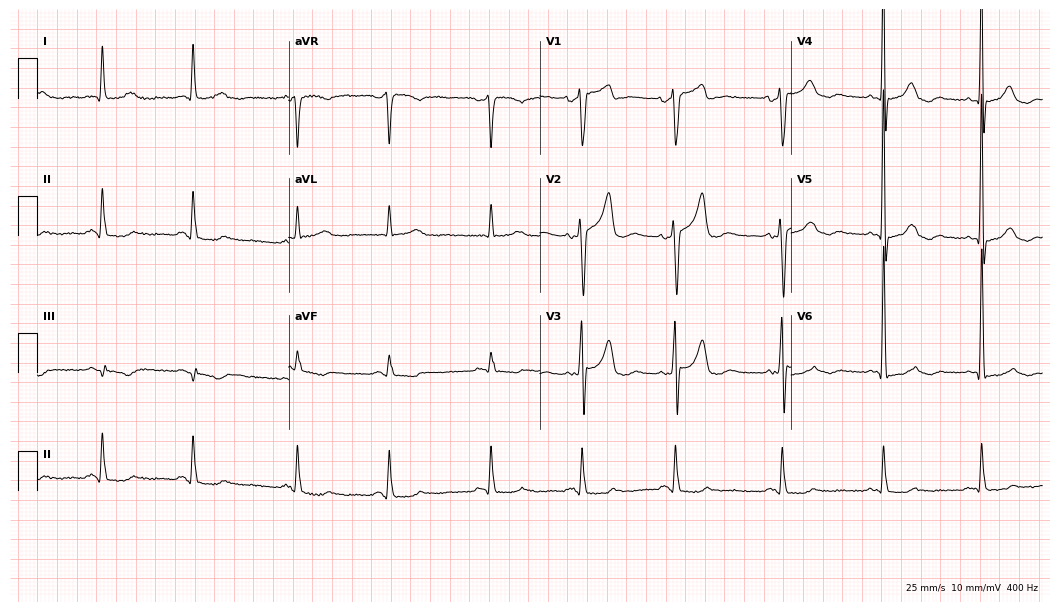
ECG (10.2-second recording at 400 Hz) — a 67-year-old male patient. Screened for six findings — first-degree AV block, right bundle branch block (RBBB), left bundle branch block (LBBB), sinus bradycardia, atrial fibrillation (AF), sinus tachycardia — none is recorded.